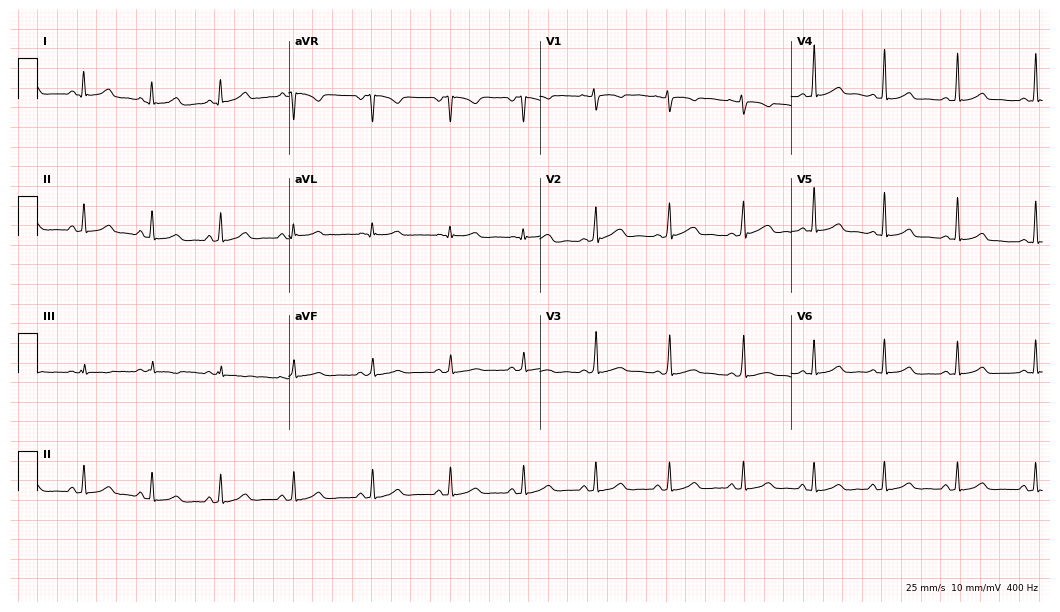
Standard 12-lead ECG recorded from a 35-year-old female patient (10.2-second recording at 400 Hz). Read as a normal ECG.